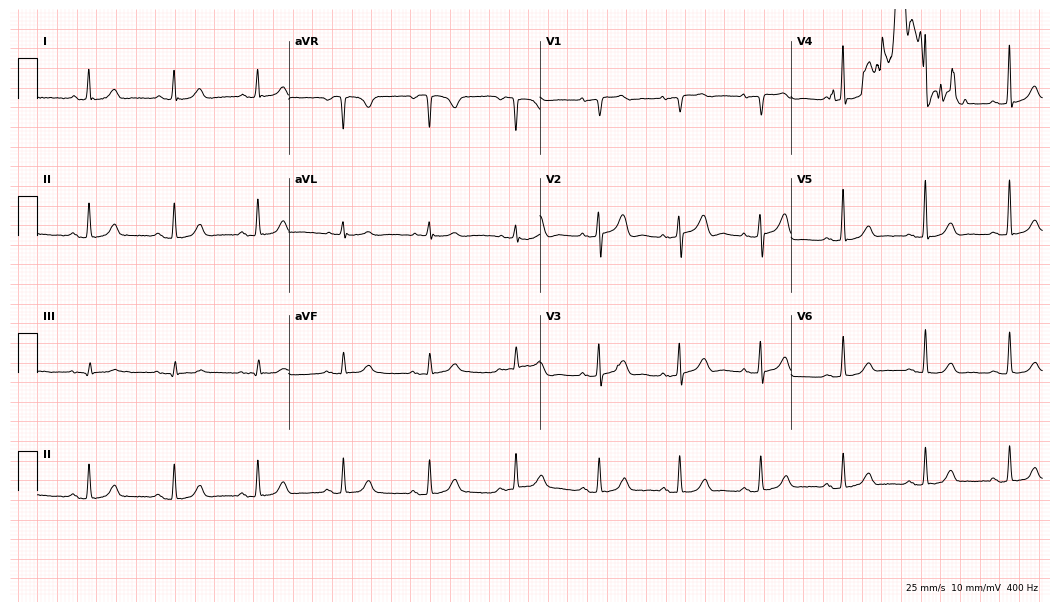
12-lead ECG from a female patient, 83 years old. Screened for six findings — first-degree AV block, right bundle branch block, left bundle branch block, sinus bradycardia, atrial fibrillation, sinus tachycardia — none is recorded.